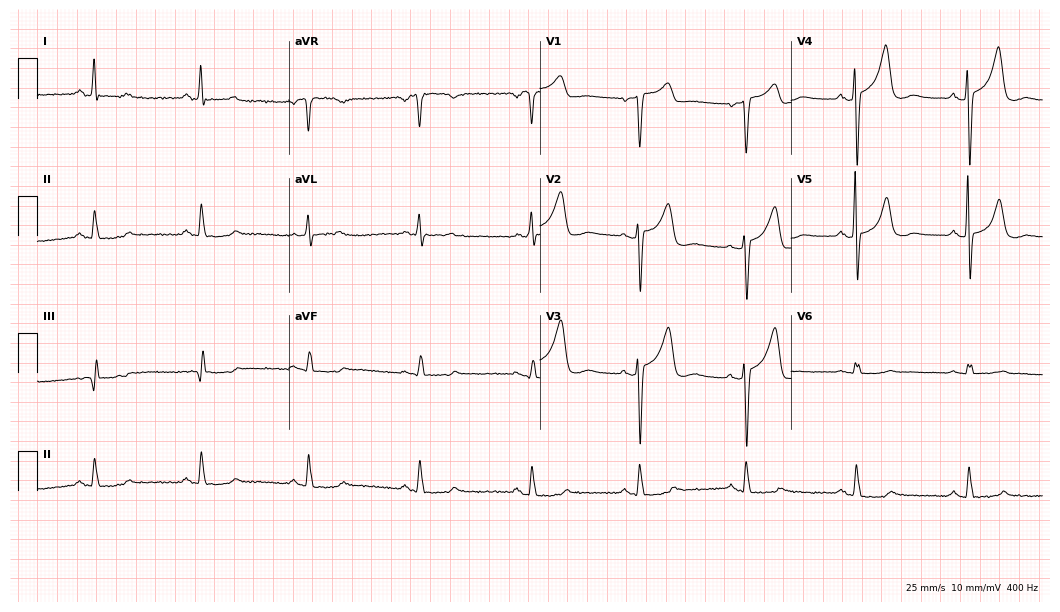
Electrocardiogram (10.2-second recording at 400 Hz), a 66-year-old female patient. Of the six screened findings (first-degree AV block, right bundle branch block (RBBB), left bundle branch block (LBBB), sinus bradycardia, atrial fibrillation (AF), sinus tachycardia), none is recorded.